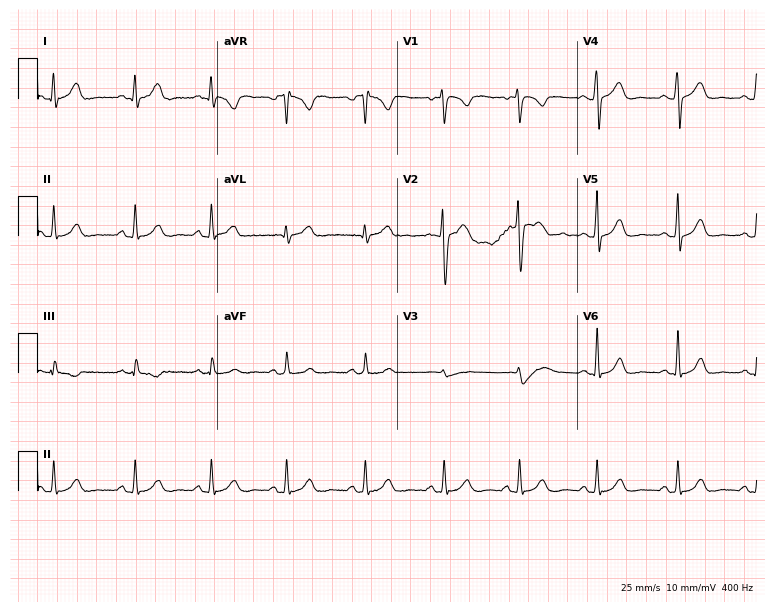
Resting 12-lead electrocardiogram (7.3-second recording at 400 Hz). Patient: a man, 34 years old. Read as a normal ECG.